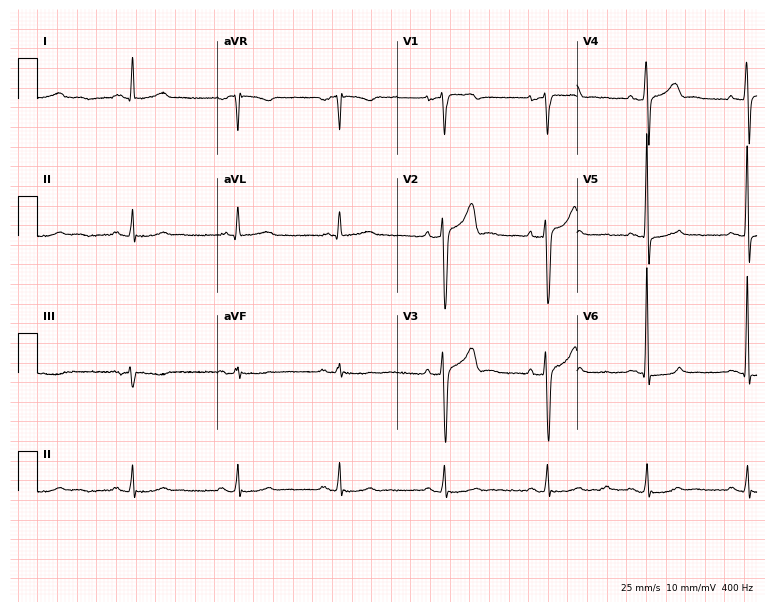
12-lead ECG from a 53-year-old male. Screened for six findings — first-degree AV block, right bundle branch block, left bundle branch block, sinus bradycardia, atrial fibrillation, sinus tachycardia — none is recorded. Other findings, if any, are not listed.